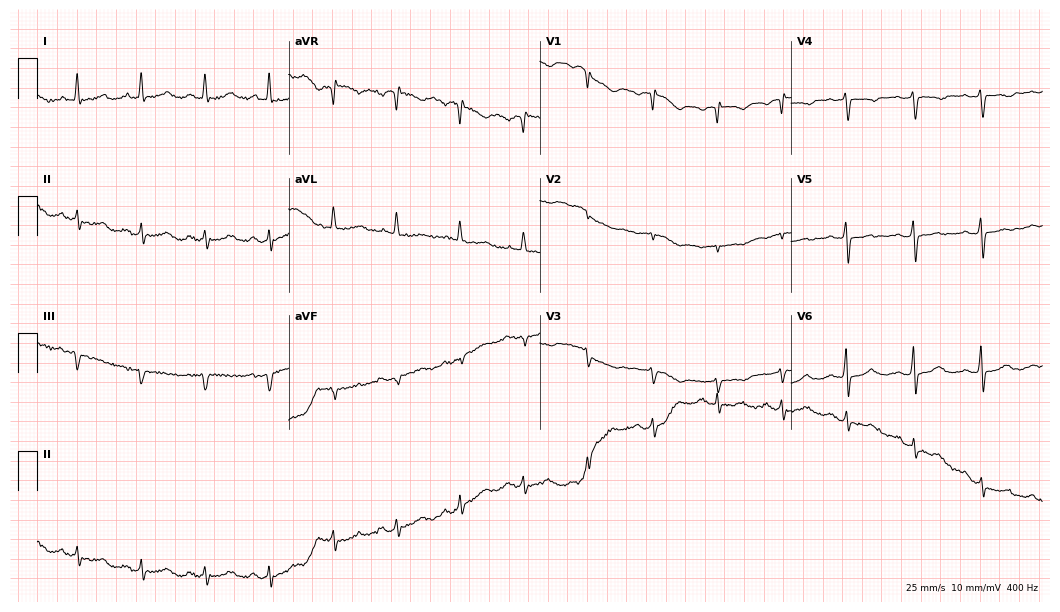
Standard 12-lead ECG recorded from a female patient, 68 years old. None of these six findings is recorded: first-degree AV block, right bundle branch block (RBBB), left bundle branch block (LBBB), sinus bradycardia, atrial fibrillation (AF), sinus tachycardia. Other findings, if any, are not listed.